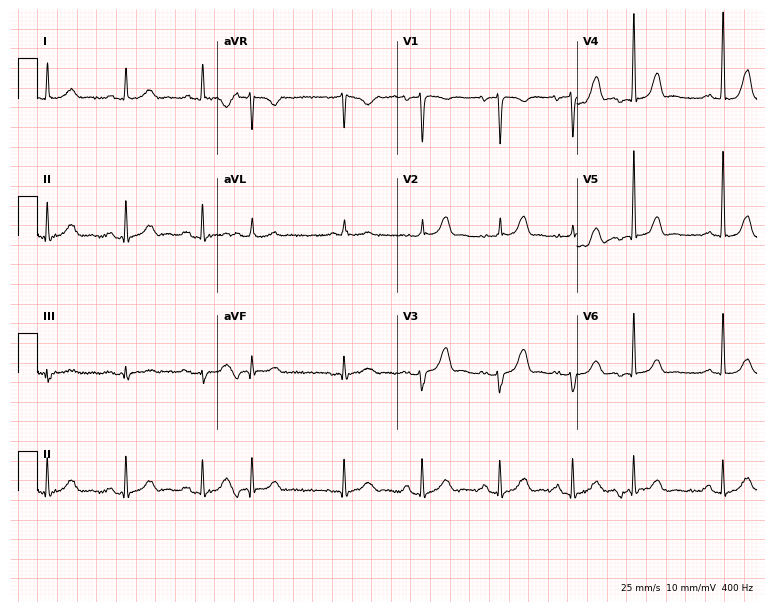
12-lead ECG (7.3-second recording at 400 Hz) from a 77-year-old female. Screened for six findings — first-degree AV block, right bundle branch block, left bundle branch block, sinus bradycardia, atrial fibrillation, sinus tachycardia — none is recorded.